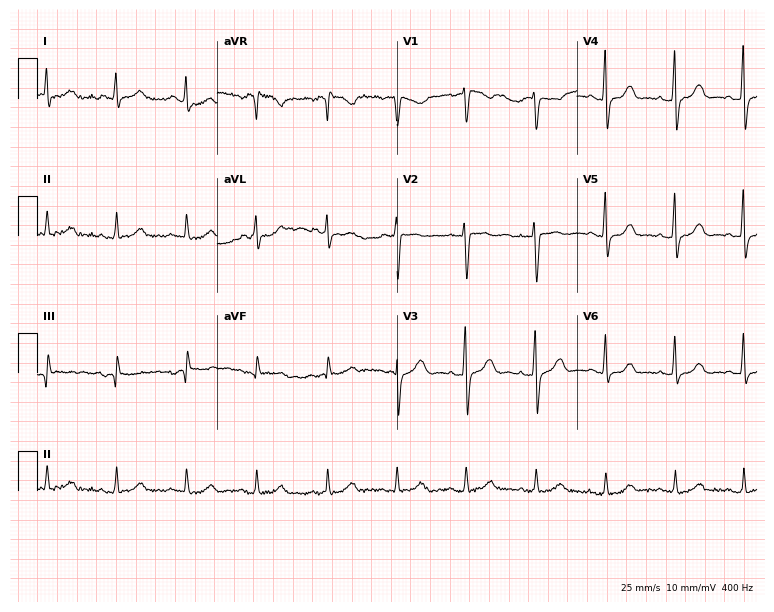
12-lead ECG (7.3-second recording at 400 Hz) from a 39-year-old woman. Screened for six findings — first-degree AV block, right bundle branch block, left bundle branch block, sinus bradycardia, atrial fibrillation, sinus tachycardia — none is recorded.